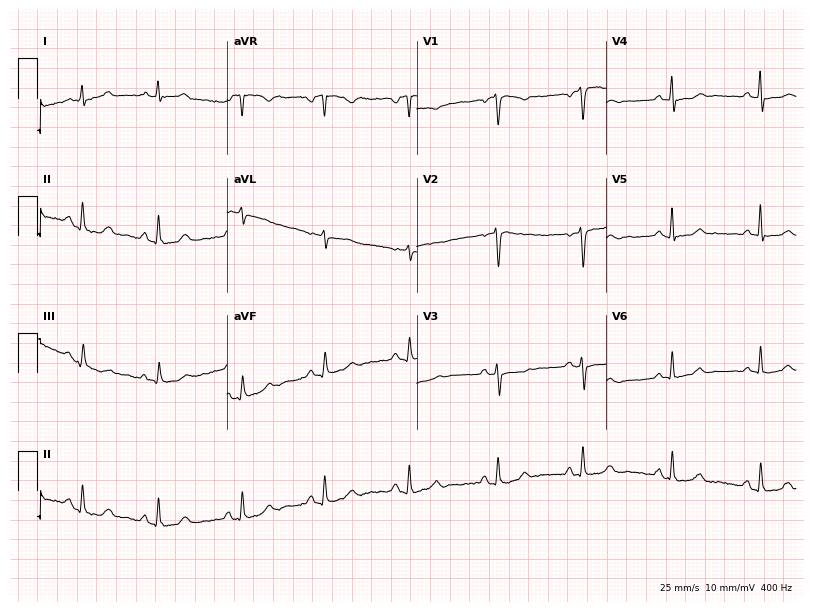
12-lead ECG from a female, 47 years old. Recorded interpretation: within normal limits.